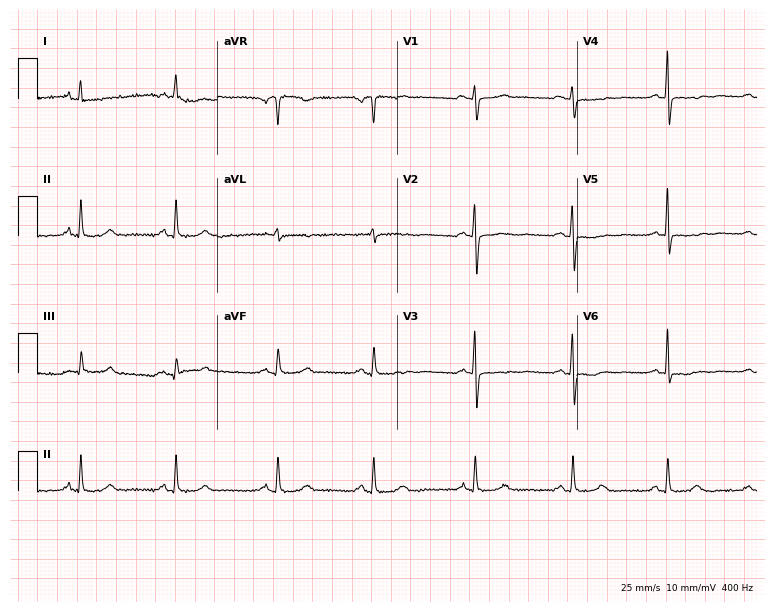
Resting 12-lead electrocardiogram (7.3-second recording at 400 Hz). Patient: a woman, 50 years old. None of these six findings is recorded: first-degree AV block, right bundle branch block (RBBB), left bundle branch block (LBBB), sinus bradycardia, atrial fibrillation (AF), sinus tachycardia. Other findings, if any, are not listed.